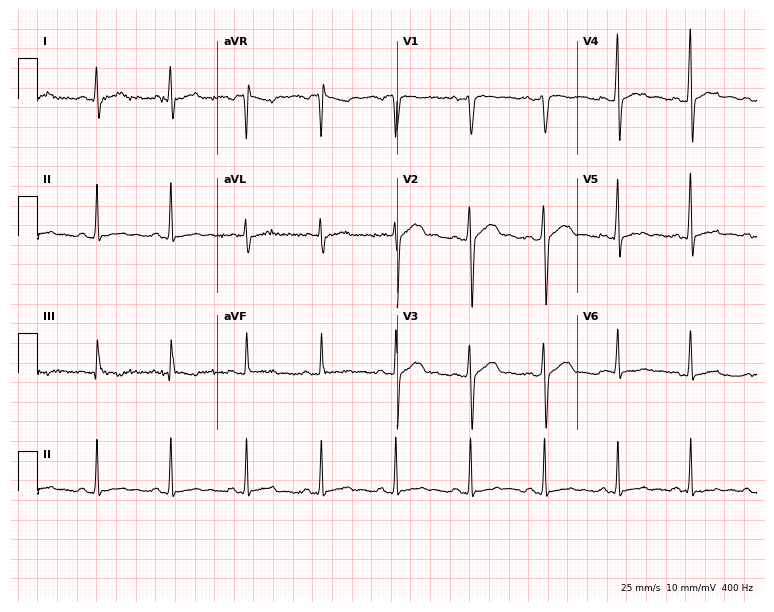
12-lead ECG from a male patient, 39 years old. No first-degree AV block, right bundle branch block, left bundle branch block, sinus bradycardia, atrial fibrillation or sinus tachycardia recorded for this tracing. Other findings, if any, are not listed.